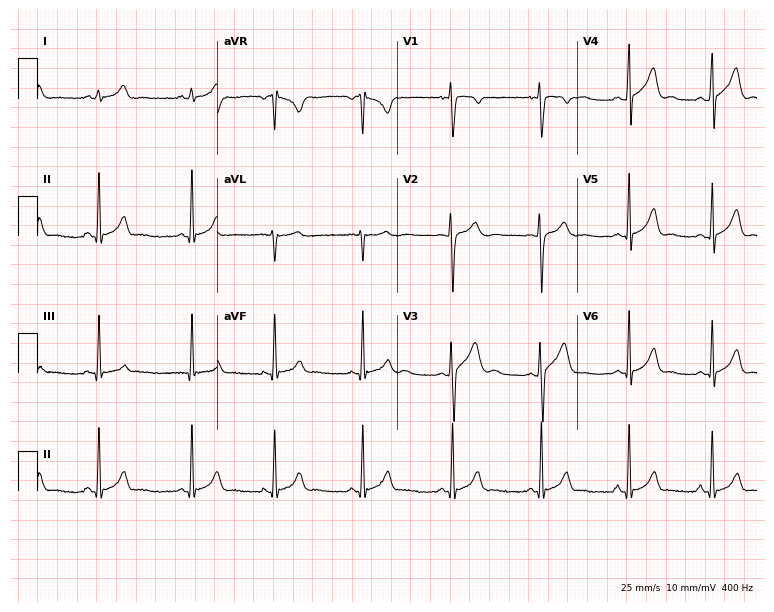
ECG — a man, 18 years old. Labelled as a normal ECG.